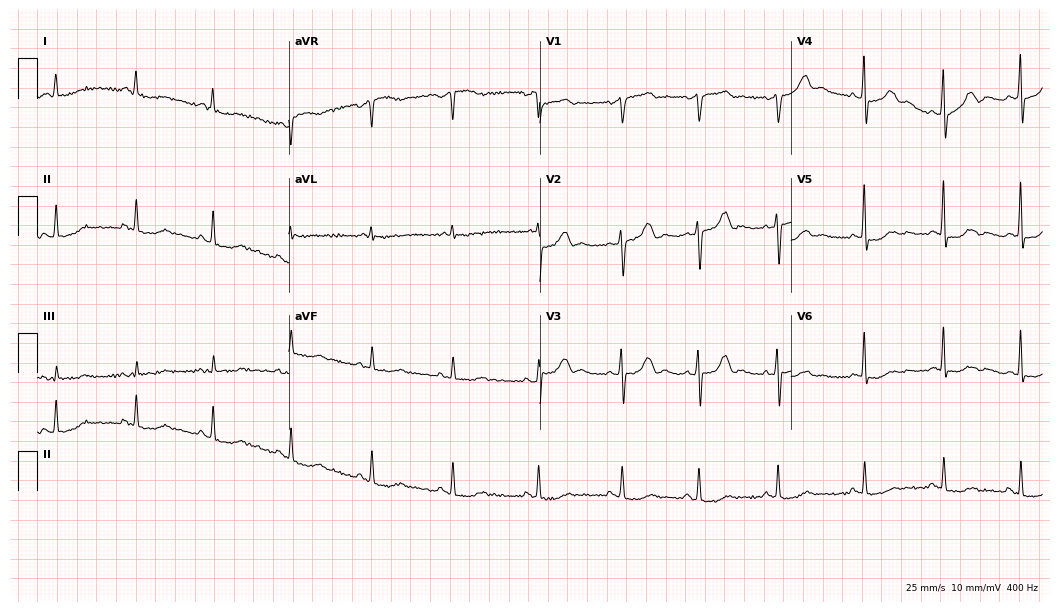
ECG (10.2-second recording at 400 Hz) — a 70-year-old female. Screened for six findings — first-degree AV block, right bundle branch block, left bundle branch block, sinus bradycardia, atrial fibrillation, sinus tachycardia — none is recorded.